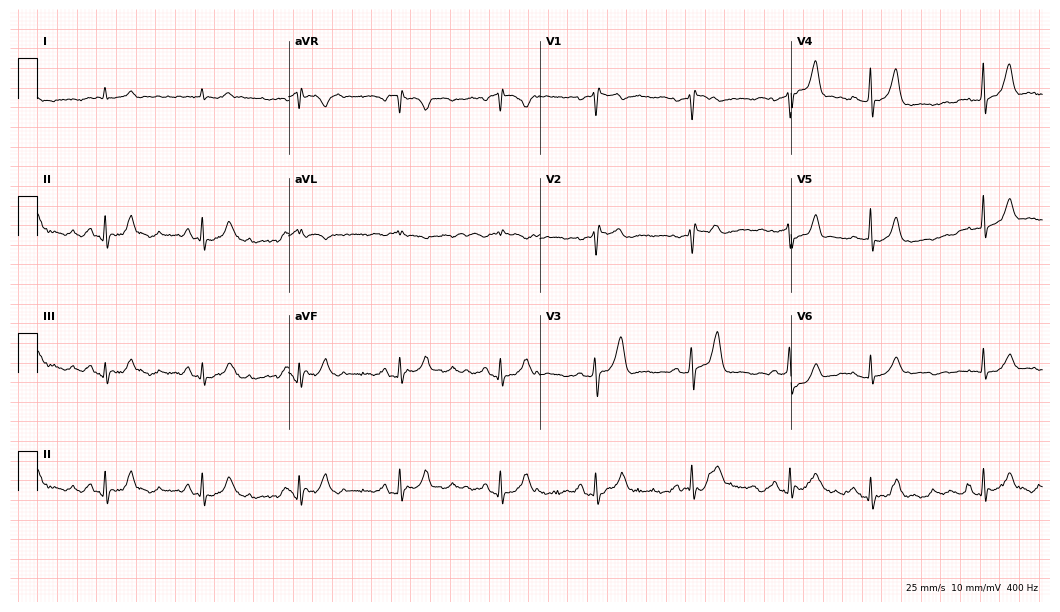
Standard 12-lead ECG recorded from a 50-year-old man (10.2-second recording at 400 Hz). None of these six findings is recorded: first-degree AV block, right bundle branch block, left bundle branch block, sinus bradycardia, atrial fibrillation, sinus tachycardia.